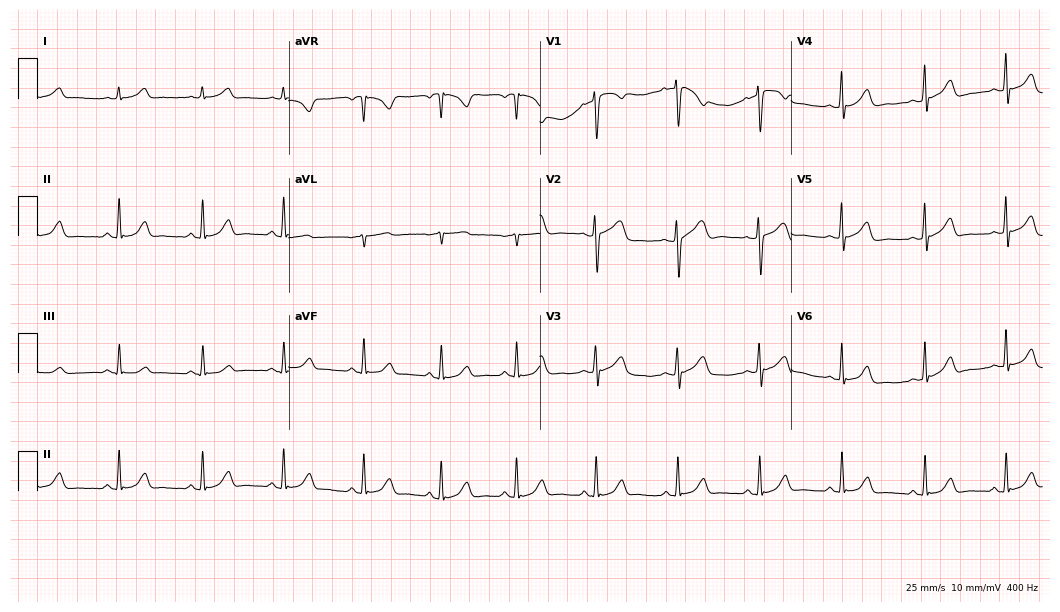
Resting 12-lead electrocardiogram (10.2-second recording at 400 Hz). Patient: a 35-year-old woman. Read as a normal ECG.